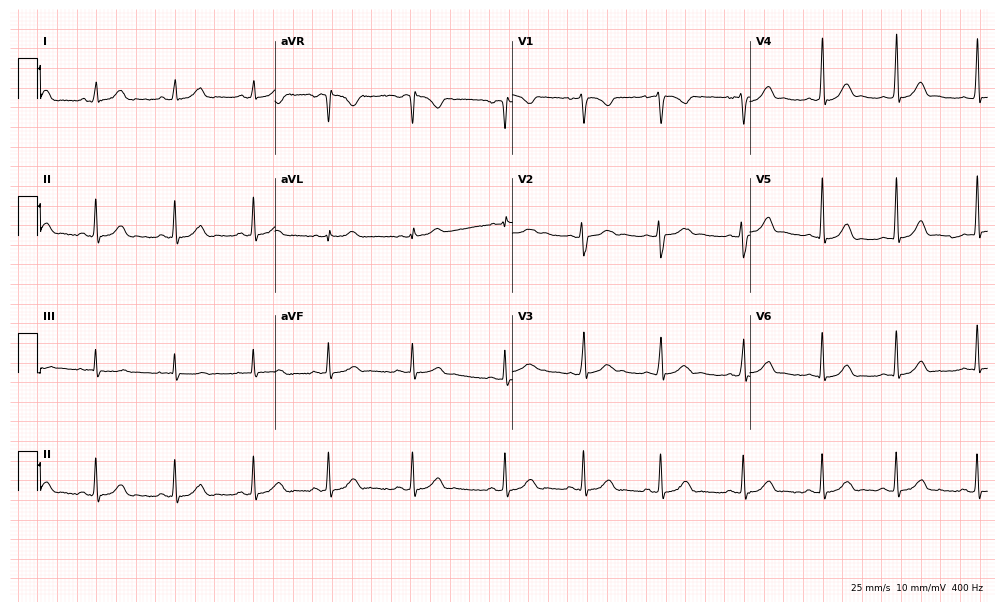
12-lead ECG from a female, 17 years old. Recorded interpretation: within normal limits.